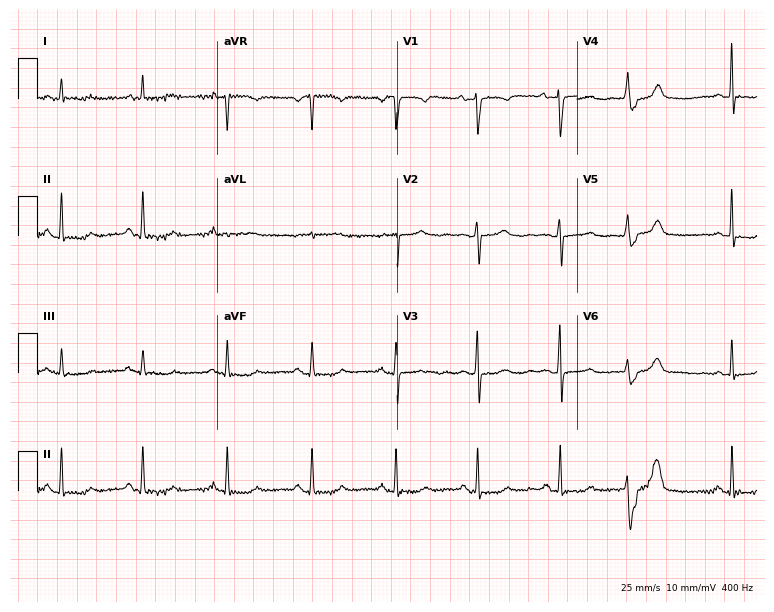
Electrocardiogram, an 80-year-old woman. Of the six screened findings (first-degree AV block, right bundle branch block (RBBB), left bundle branch block (LBBB), sinus bradycardia, atrial fibrillation (AF), sinus tachycardia), none is recorded.